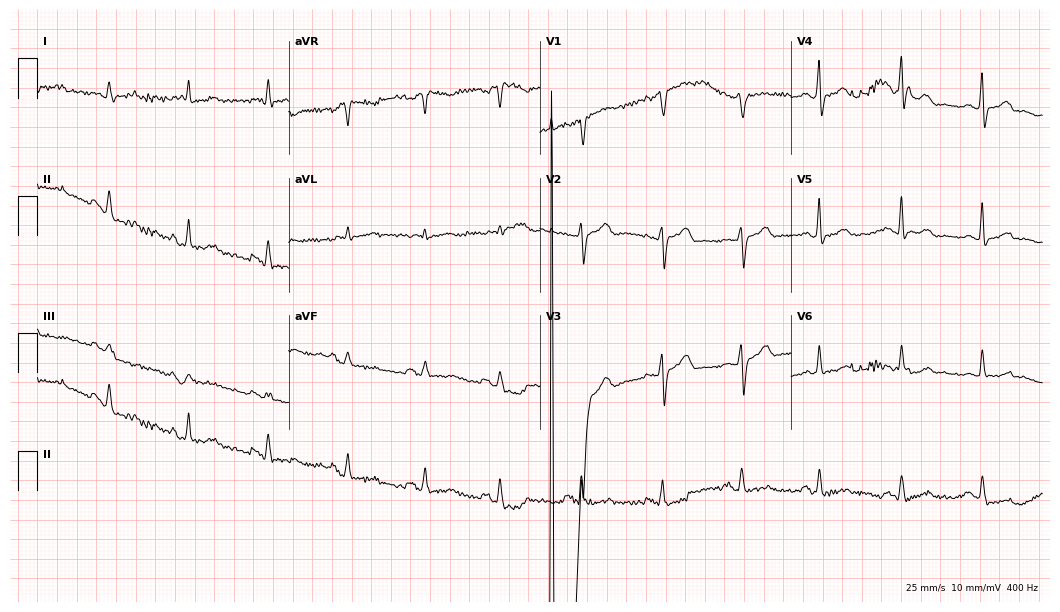
Electrocardiogram (10.2-second recording at 400 Hz), a female patient, 60 years old. Of the six screened findings (first-degree AV block, right bundle branch block (RBBB), left bundle branch block (LBBB), sinus bradycardia, atrial fibrillation (AF), sinus tachycardia), none is recorded.